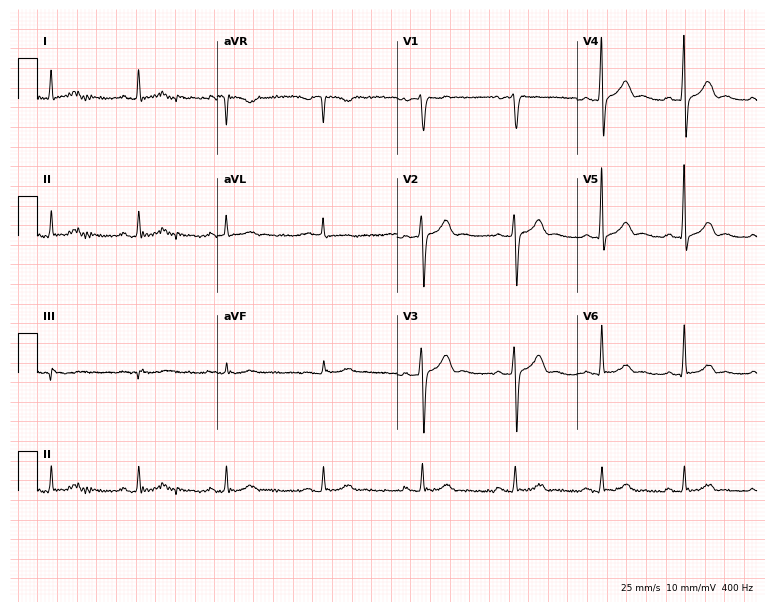
Standard 12-lead ECG recorded from a 44-year-old male patient. None of these six findings is recorded: first-degree AV block, right bundle branch block, left bundle branch block, sinus bradycardia, atrial fibrillation, sinus tachycardia. Other findings, if any, are not listed.